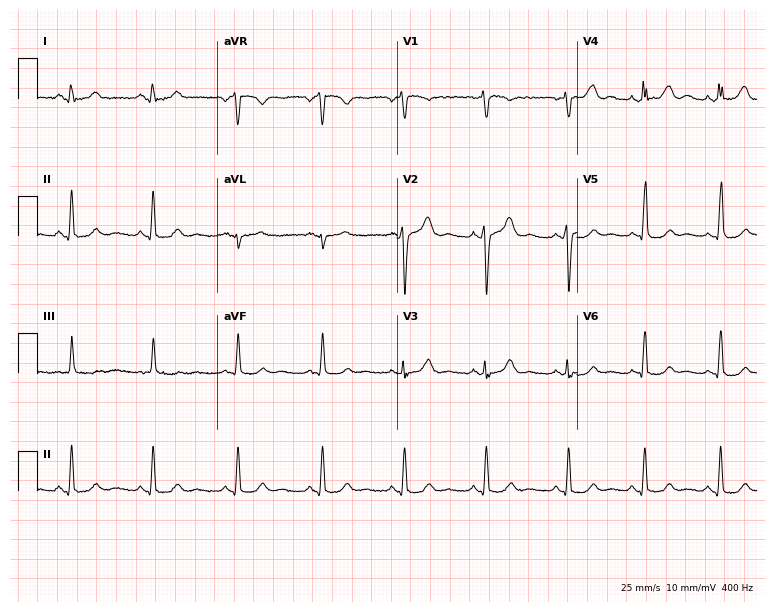
Standard 12-lead ECG recorded from a female patient, 27 years old (7.3-second recording at 400 Hz). None of these six findings is recorded: first-degree AV block, right bundle branch block, left bundle branch block, sinus bradycardia, atrial fibrillation, sinus tachycardia. Other findings, if any, are not listed.